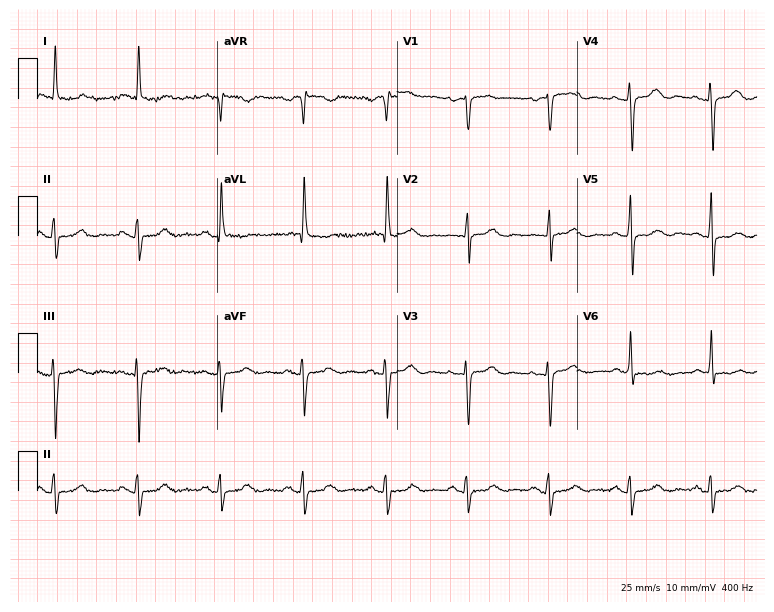
Electrocardiogram, an 80-year-old female. Of the six screened findings (first-degree AV block, right bundle branch block, left bundle branch block, sinus bradycardia, atrial fibrillation, sinus tachycardia), none is recorded. Only these six findings were labelled.